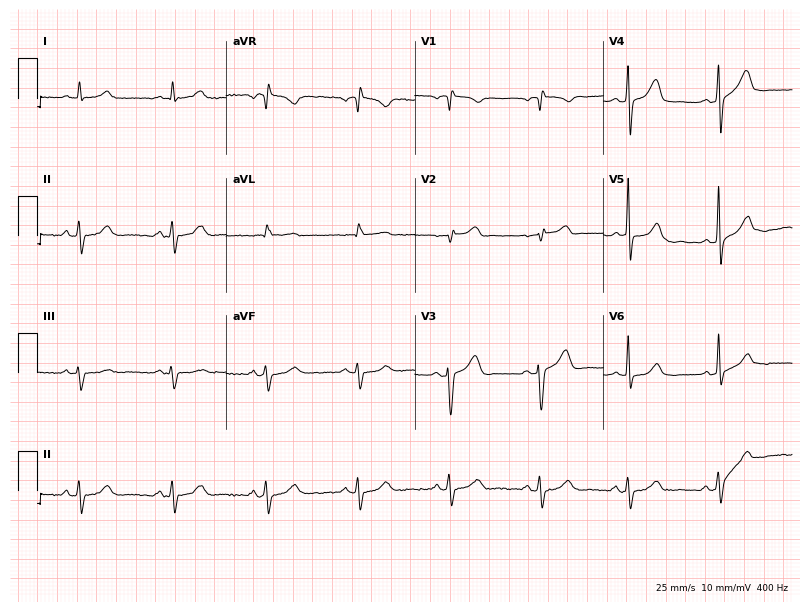
ECG (7.7-second recording at 400 Hz) — a woman, 62 years old. Screened for six findings — first-degree AV block, right bundle branch block (RBBB), left bundle branch block (LBBB), sinus bradycardia, atrial fibrillation (AF), sinus tachycardia — none is recorded. Only these six findings were labelled.